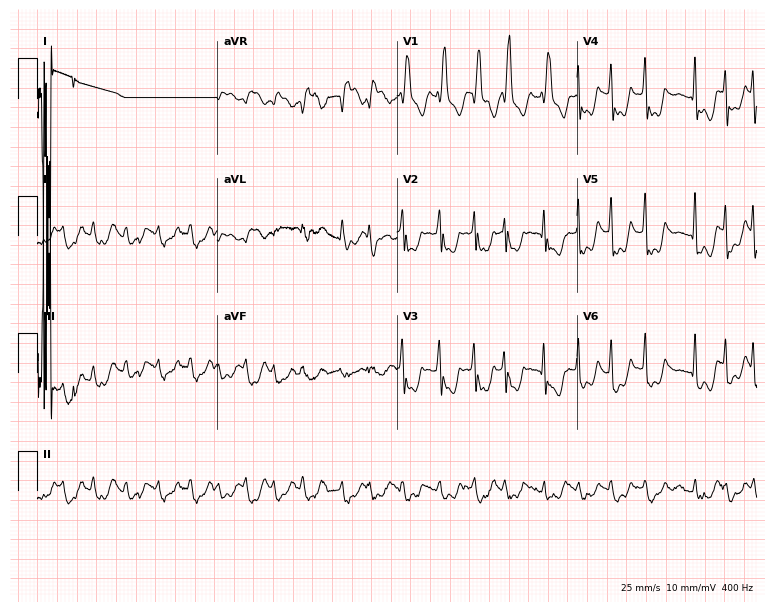
12-lead ECG (7.3-second recording at 400 Hz) from an 83-year-old female. Screened for six findings — first-degree AV block, right bundle branch block, left bundle branch block, sinus bradycardia, atrial fibrillation, sinus tachycardia — none is recorded. Findings outside these six are not listed.